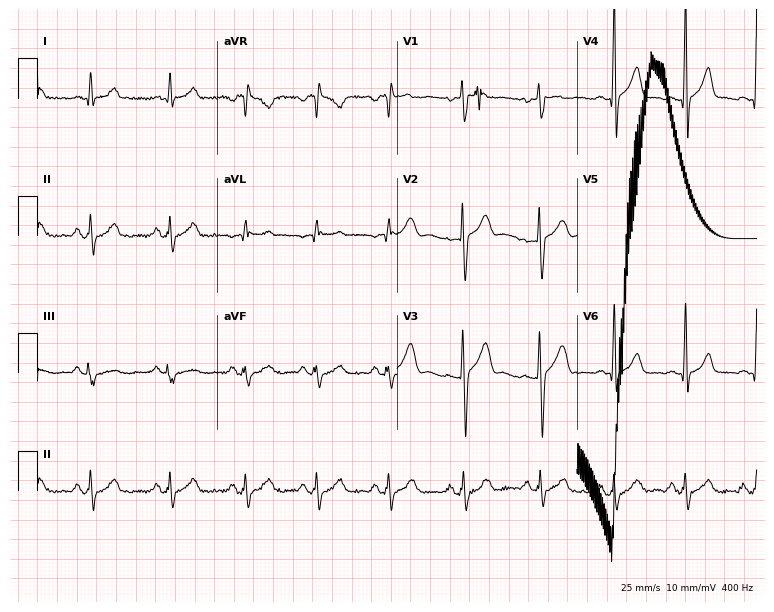
Electrocardiogram, a 26-year-old male patient. Of the six screened findings (first-degree AV block, right bundle branch block (RBBB), left bundle branch block (LBBB), sinus bradycardia, atrial fibrillation (AF), sinus tachycardia), none is recorded. Only these six findings were labelled.